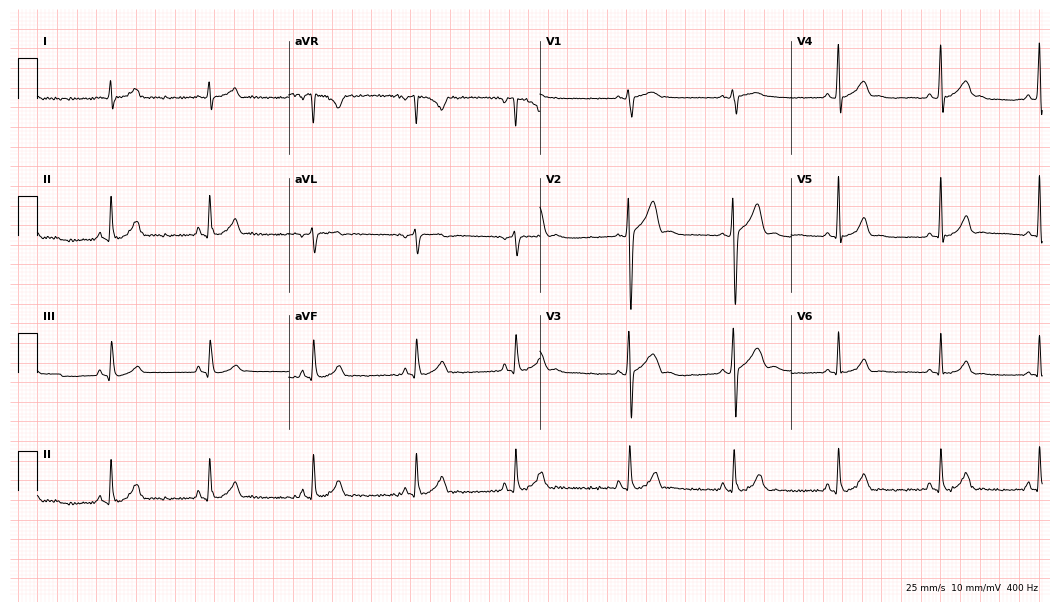
Standard 12-lead ECG recorded from a 17-year-old male (10.2-second recording at 400 Hz). Read as a normal ECG.